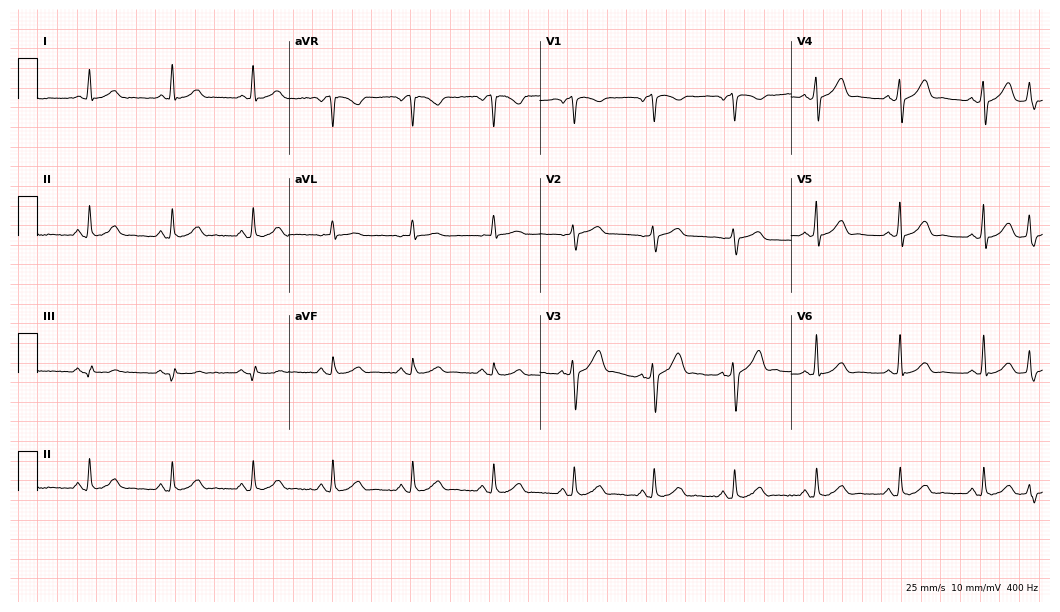
Electrocardiogram, a male patient, 67 years old. Overall reading on record: normal ECG.